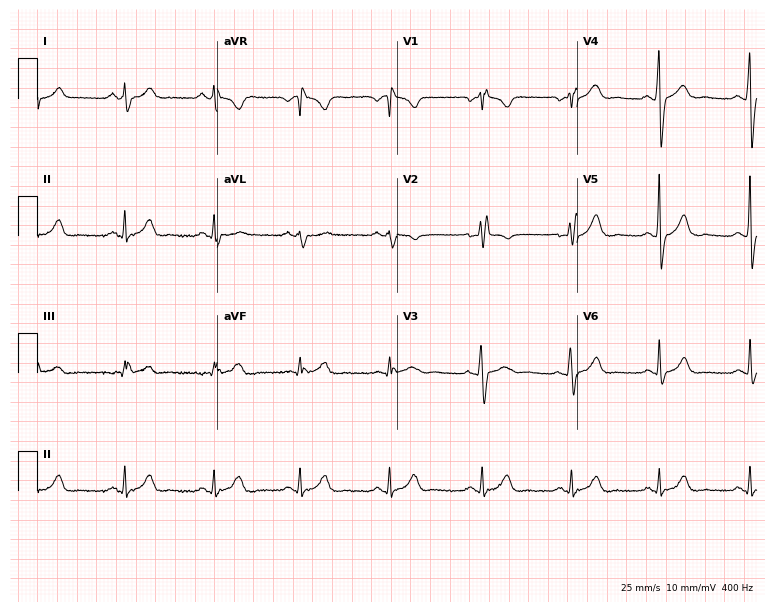
12-lead ECG from a male patient, 22 years old (7.3-second recording at 400 Hz). No first-degree AV block, right bundle branch block, left bundle branch block, sinus bradycardia, atrial fibrillation or sinus tachycardia recorded for this tracing.